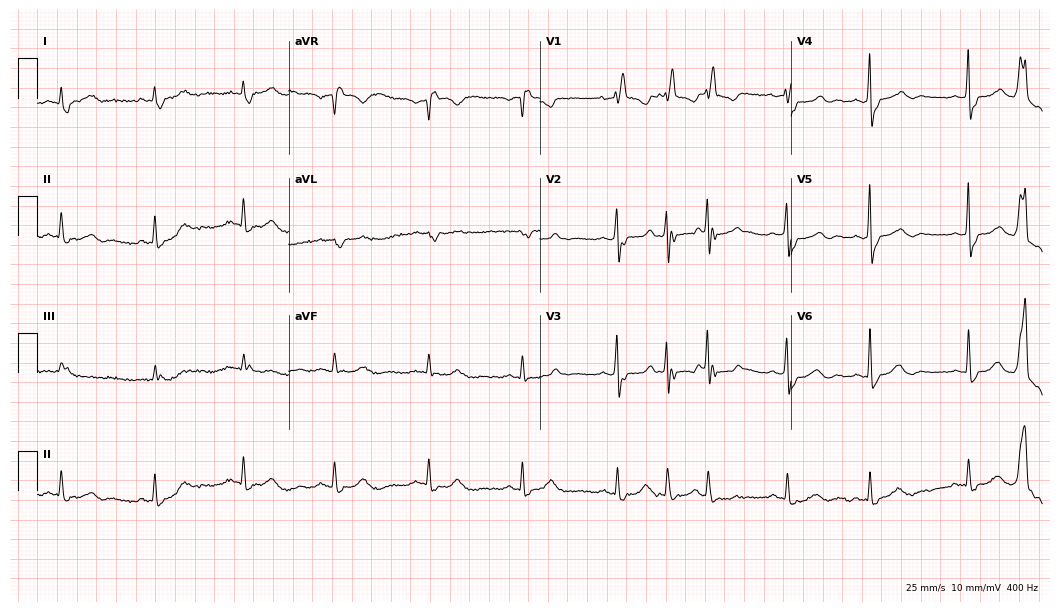
12-lead ECG from a female, 69 years old. Shows right bundle branch block.